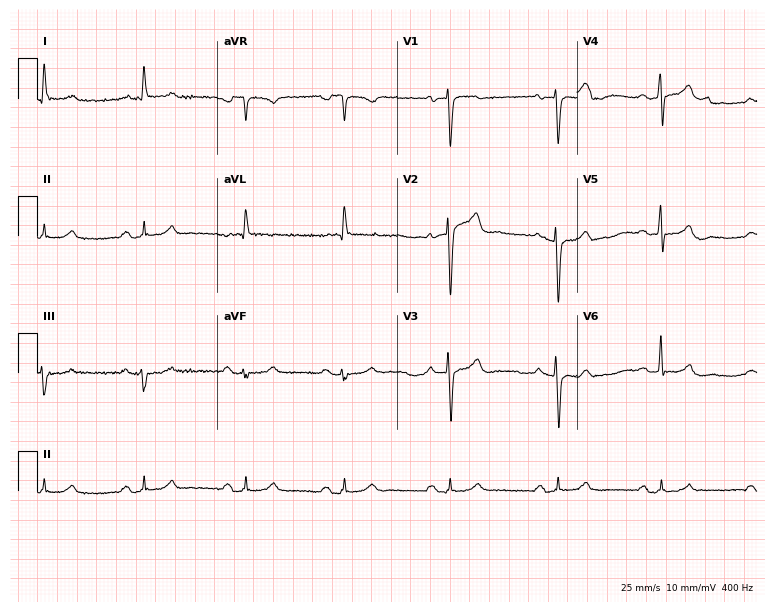
12-lead ECG from a 71-year-old male patient. Recorded interpretation: within normal limits.